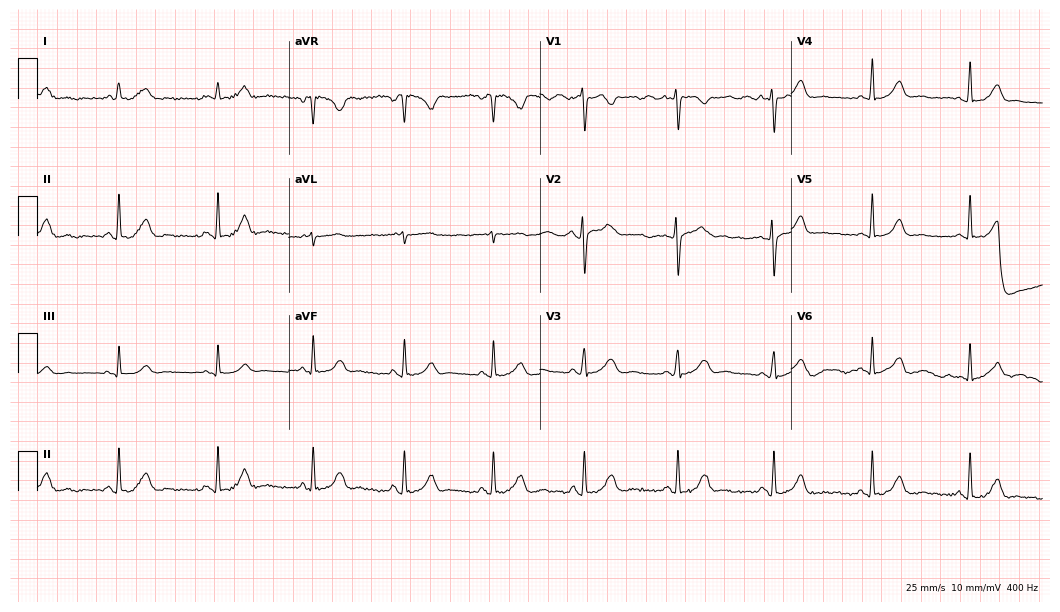
12-lead ECG from a woman, 39 years old. Labelled as a normal ECG.